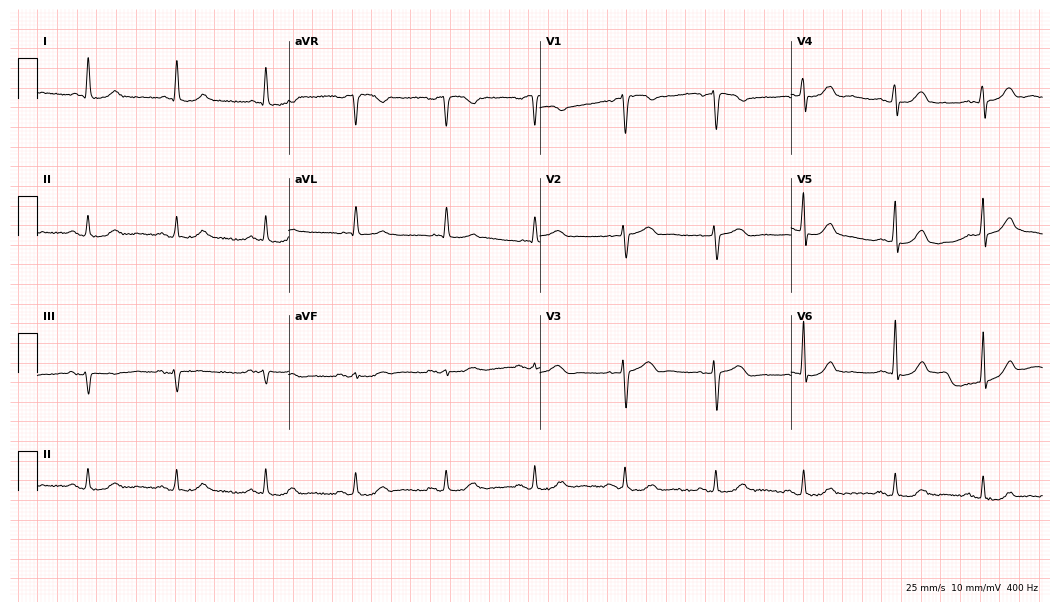
Standard 12-lead ECG recorded from a female, 75 years old (10.2-second recording at 400 Hz). Read as a normal ECG.